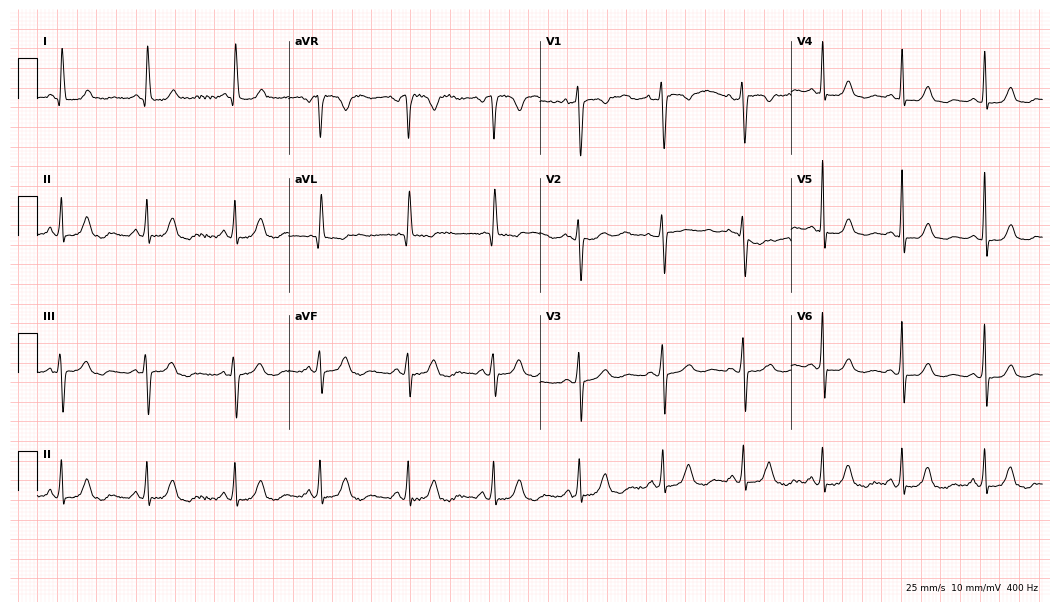
12-lead ECG from a 60-year-old woman (10.2-second recording at 400 Hz). No first-degree AV block, right bundle branch block, left bundle branch block, sinus bradycardia, atrial fibrillation or sinus tachycardia recorded for this tracing.